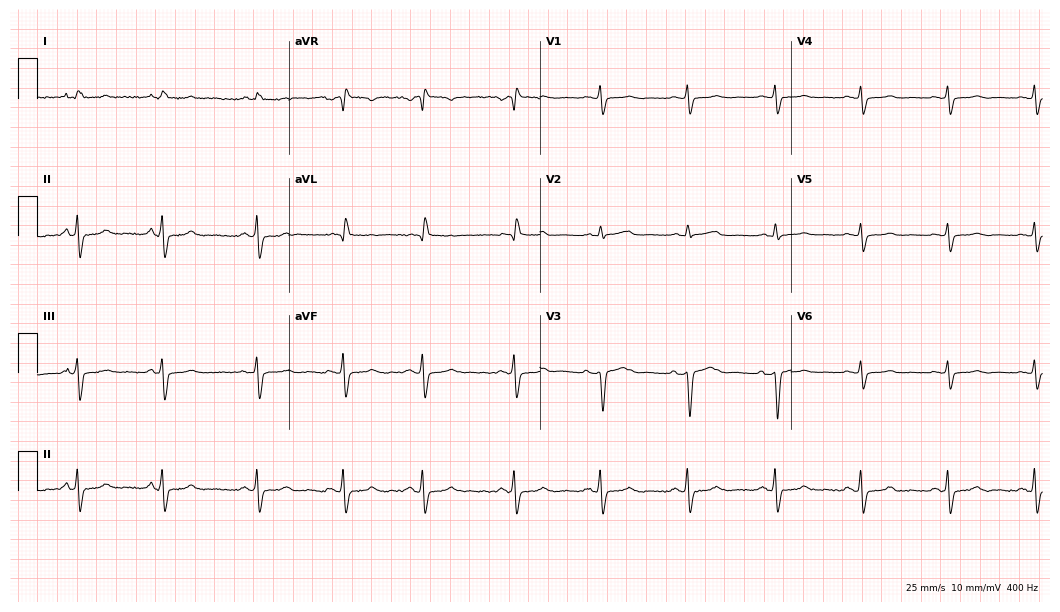
ECG (10.2-second recording at 400 Hz) — a 72-year-old man. Screened for six findings — first-degree AV block, right bundle branch block, left bundle branch block, sinus bradycardia, atrial fibrillation, sinus tachycardia — none is recorded.